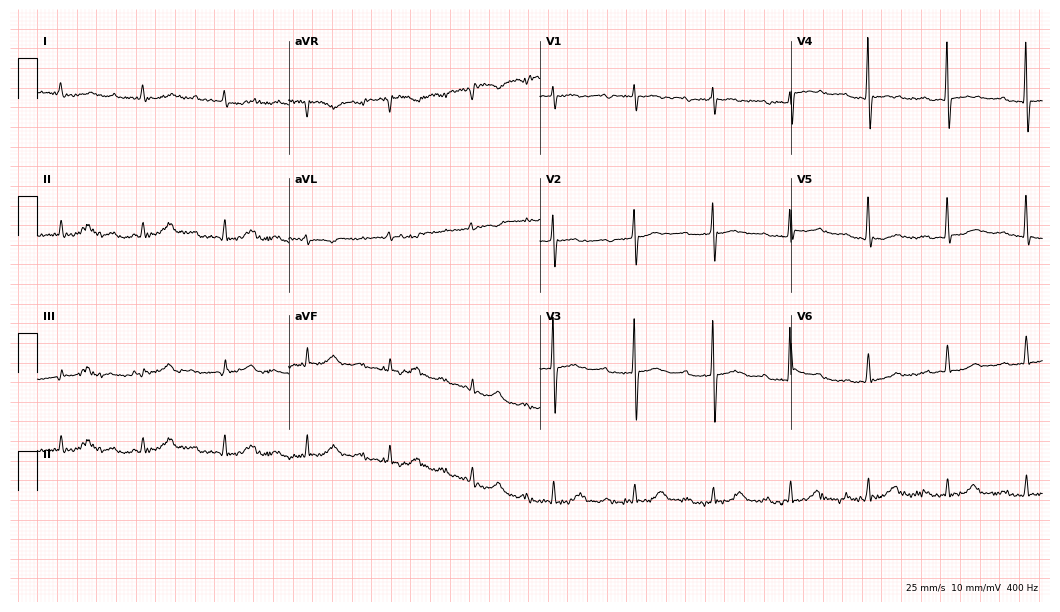
Electrocardiogram (10.2-second recording at 400 Hz), an 84-year-old female patient. Of the six screened findings (first-degree AV block, right bundle branch block (RBBB), left bundle branch block (LBBB), sinus bradycardia, atrial fibrillation (AF), sinus tachycardia), none is recorded. Findings outside these six are not listed.